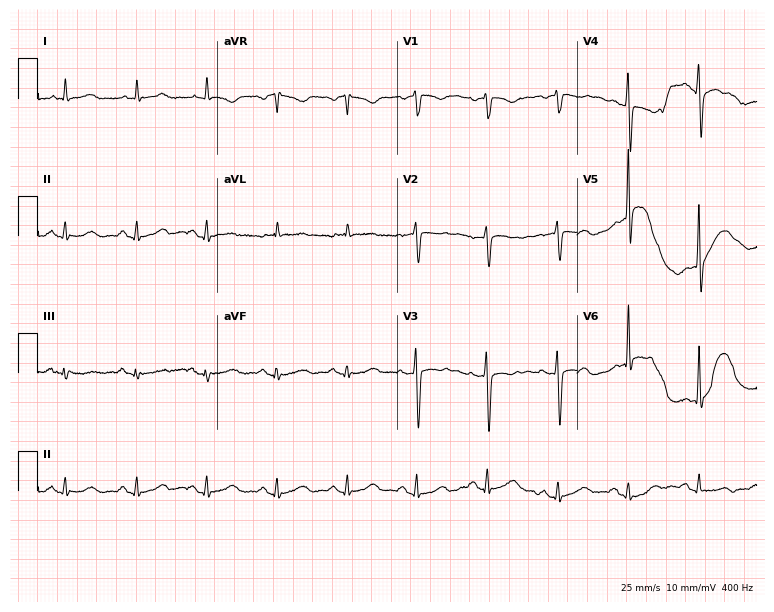
Electrocardiogram (7.3-second recording at 400 Hz), a male, 77 years old. Of the six screened findings (first-degree AV block, right bundle branch block, left bundle branch block, sinus bradycardia, atrial fibrillation, sinus tachycardia), none is recorded.